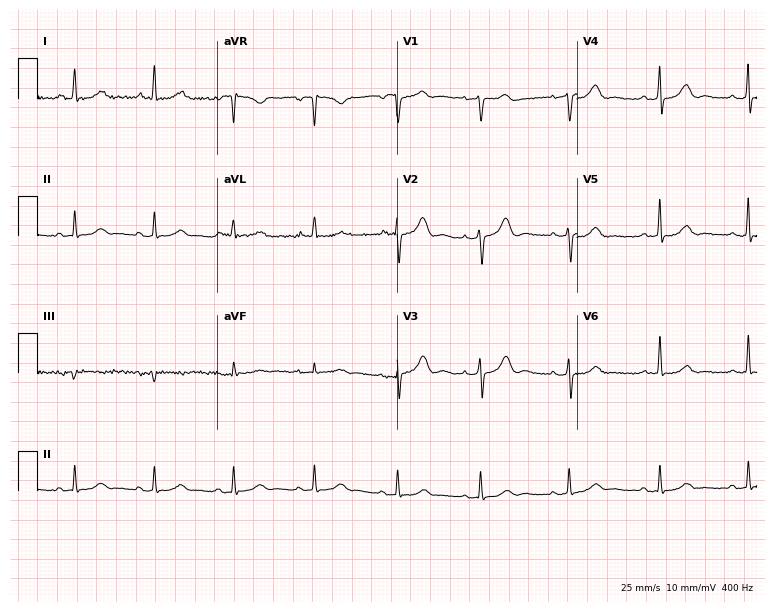
Standard 12-lead ECG recorded from a 55-year-old female patient (7.3-second recording at 400 Hz). None of these six findings is recorded: first-degree AV block, right bundle branch block (RBBB), left bundle branch block (LBBB), sinus bradycardia, atrial fibrillation (AF), sinus tachycardia. Only these six findings were labelled.